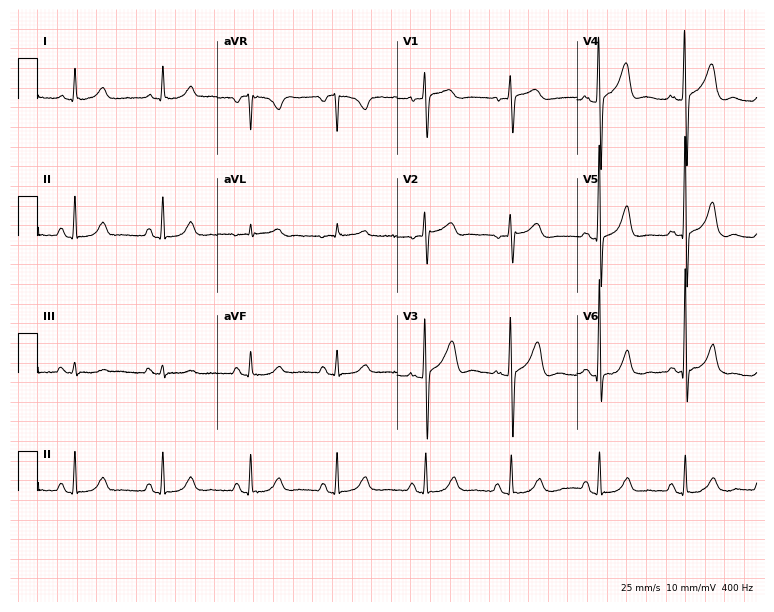
12-lead ECG from a woman, 61 years old. Labelled as a normal ECG.